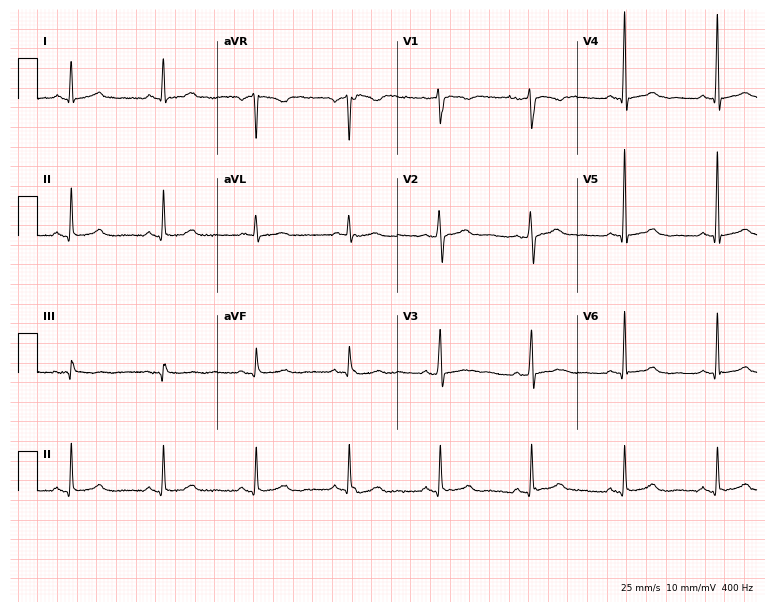
12-lead ECG (7.3-second recording at 400 Hz) from a 57-year-old female. Labelled as a normal ECG.